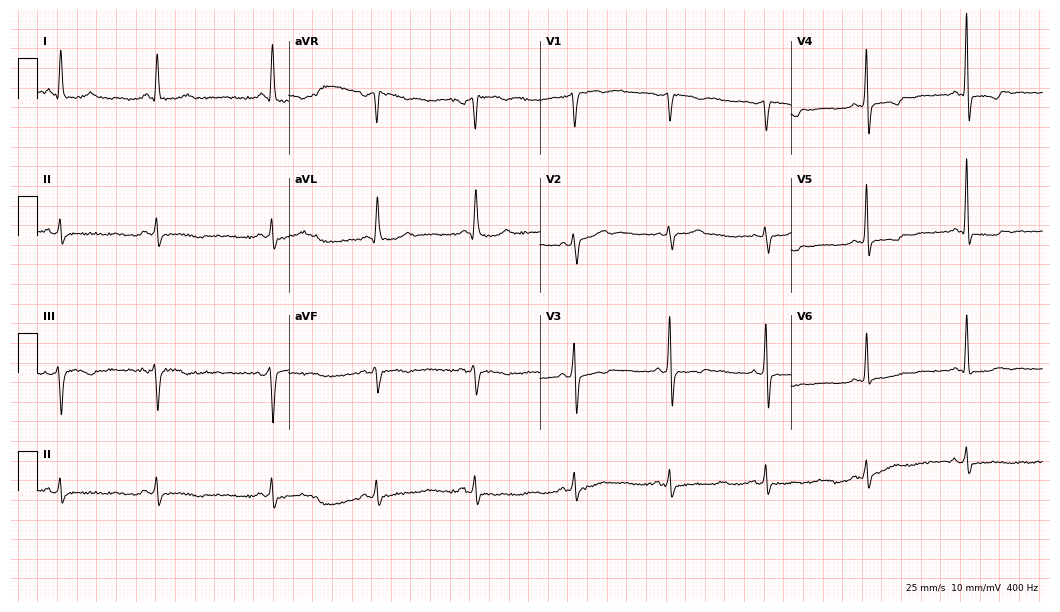
Electrocardiogram, a 52-year-old female. Of the six screened findings (first-degree AV block, right bundle branch block (RBBB), left bundle branch block (LBBB), sinus bradycardia, atrial fibrillation (AF), sinus tachycardia), none is recorded.